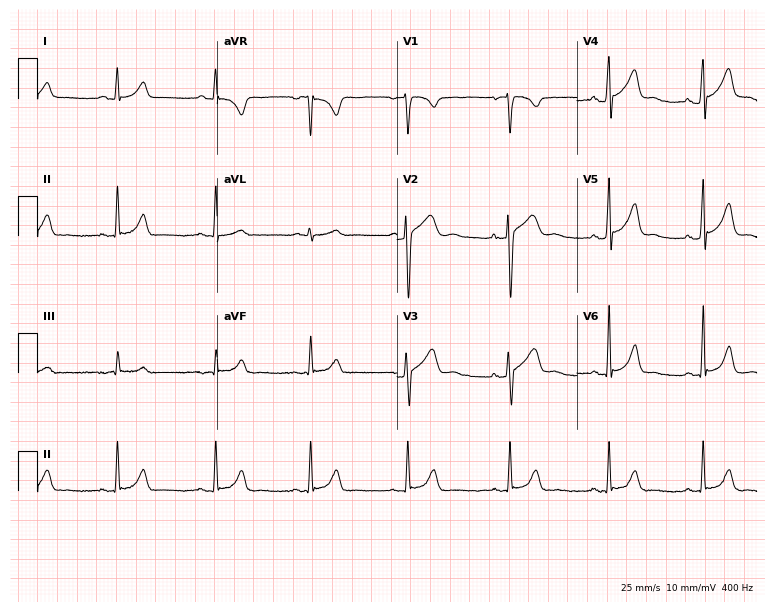
Standard 12-lead ECG recorded from a male, 40 years old (7.3-second recording at 400 Hz). Read as a normal ECG.